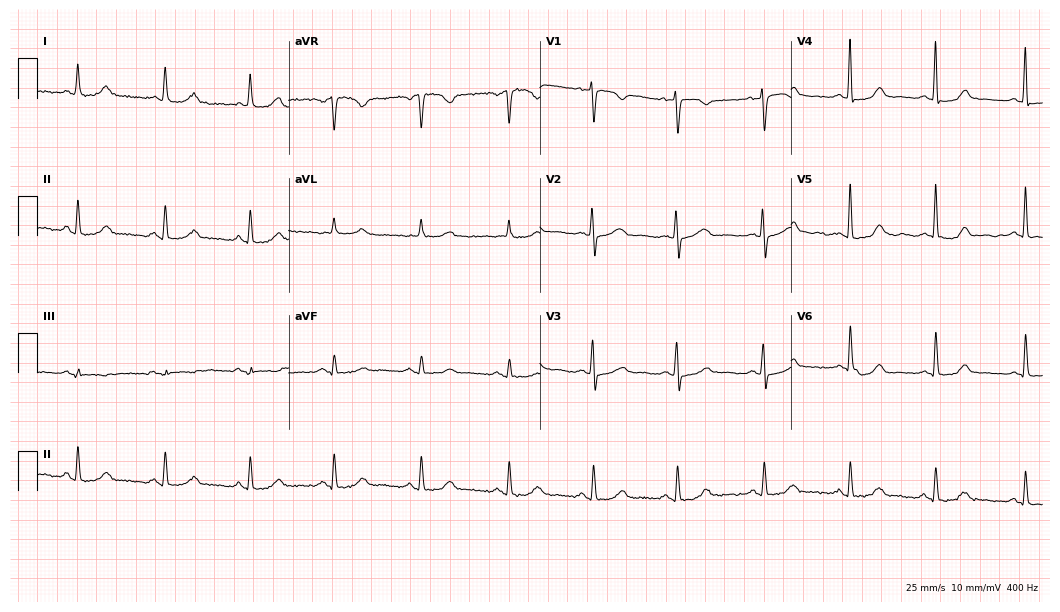
Resting 12-lead electrocardiogram (10.2-second recording at 400 Hz). Patient: a 57-year-old female. Read as a normal ECG.